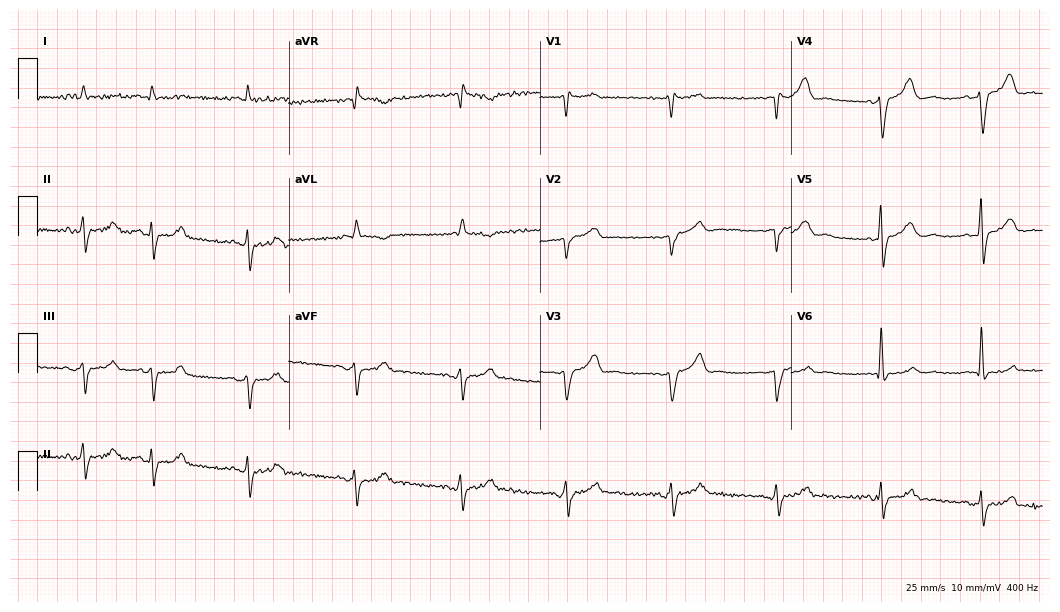
12-lead ECG (10.2-second recording at 400 Hz) from a man, 77 years old. Screened for six findings — first-degree AV block, right bundle branch block (RBBB), left bundle branch block (LBBB), sinus bradycardia, atrial fibrillation (AF), sinus tachycardia — none is recorded. Other findings, if any, are not listed.